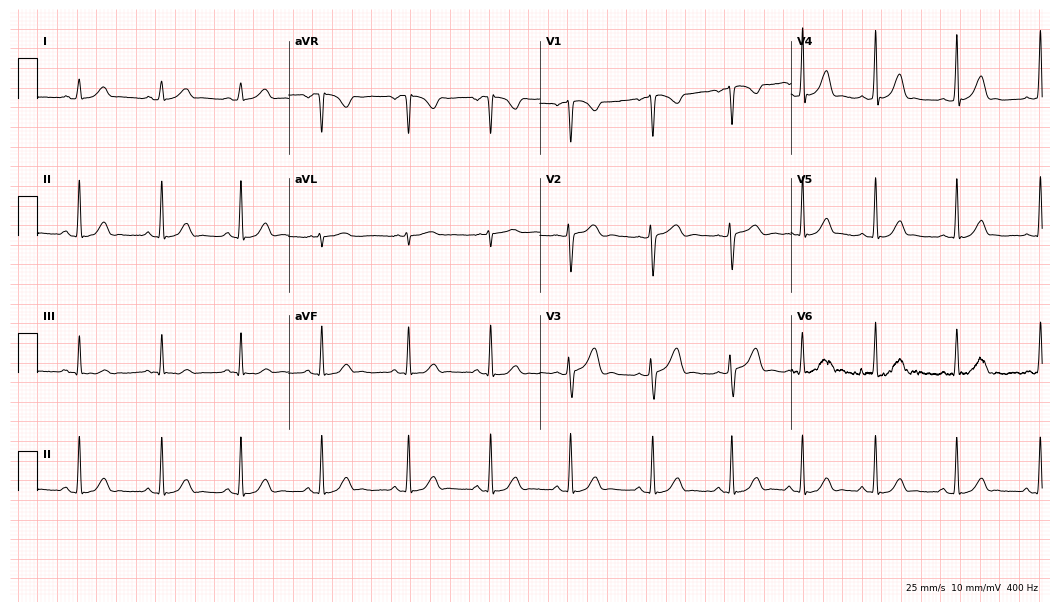
12-lead ECG from a woman, 23 years old (10.2-second recording at 400 Hz). Recorded interpretation: within normal limits.